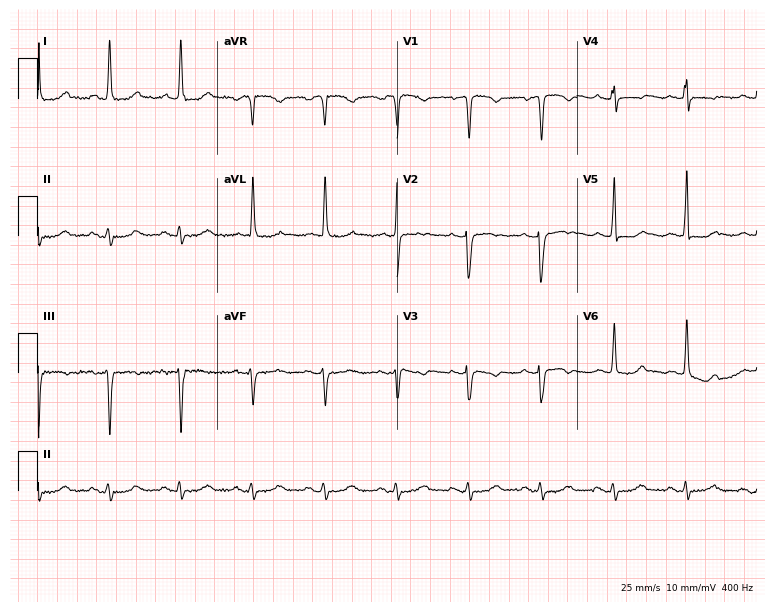
ECG — an 81-year-old female. Screened for six findings — first-degree AV block, right bundle branch block, left bundle branch block, sinus bradycardia, atrial fibrillation, sinus tachycardia — none is recorded.